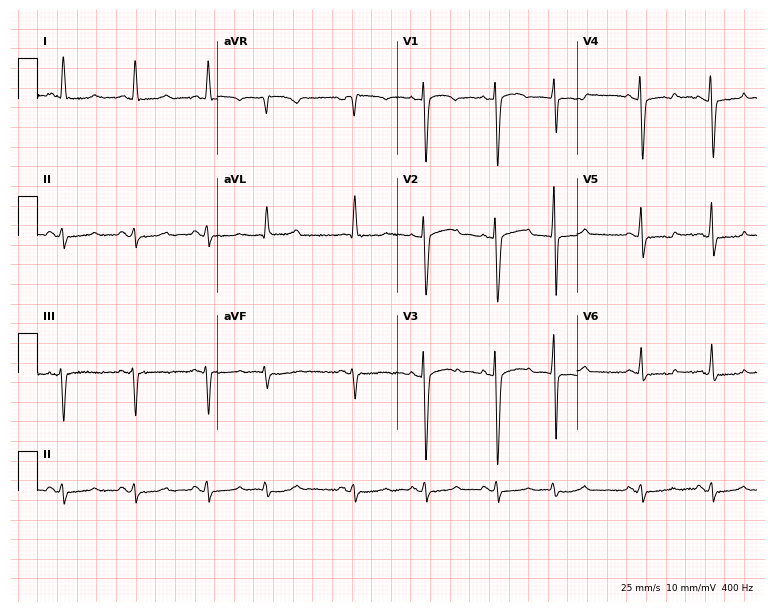
Electrocardiogram, a 72-year-old female patient. Of the six screened findings (first-degree AV block, right bundle branch block, left bundle branch block, sinus bradycardia, atrial fibrillation, sinus tachycardia), none is recorded.